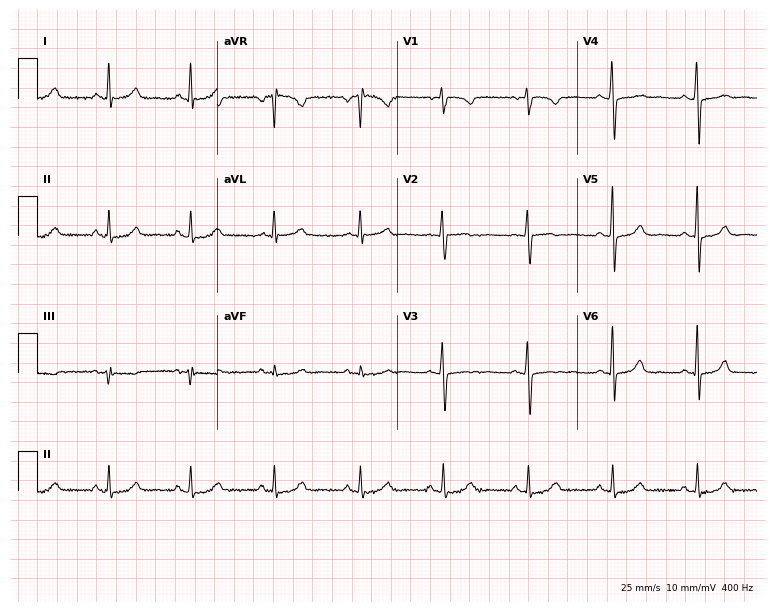
Resting 12-lead electrocardiogram. Patient: a woman, 41 years old. None of these six findings is recorded: first-degree AV block, right bundle branch block, left bundle branch block, sinus bradycardia, atrial fibrillation, sinus tachycardia. Findings outside these six are not listed.